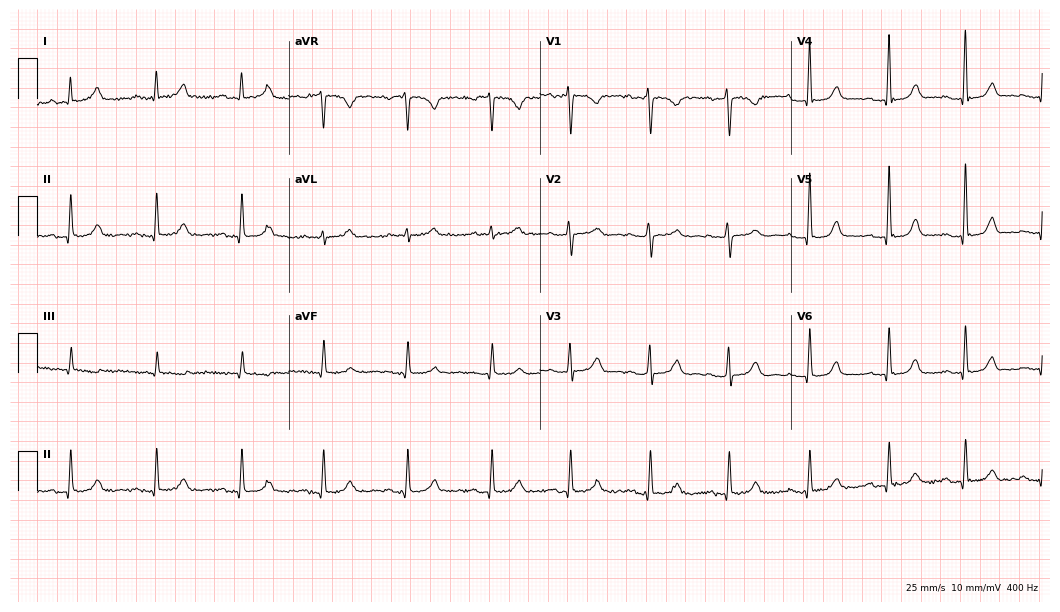
12-lead ECG from a 44-year-old female patient (10.2-second recording at 400 Hz). No first-degree AV block, right bundle branch block (RBBB), left bundle branch block (LBBB), sinus bradycardia, atrial fibrillation (AF) or sinus tachycardia recorded for this tracing. Only these six findings were labelled.